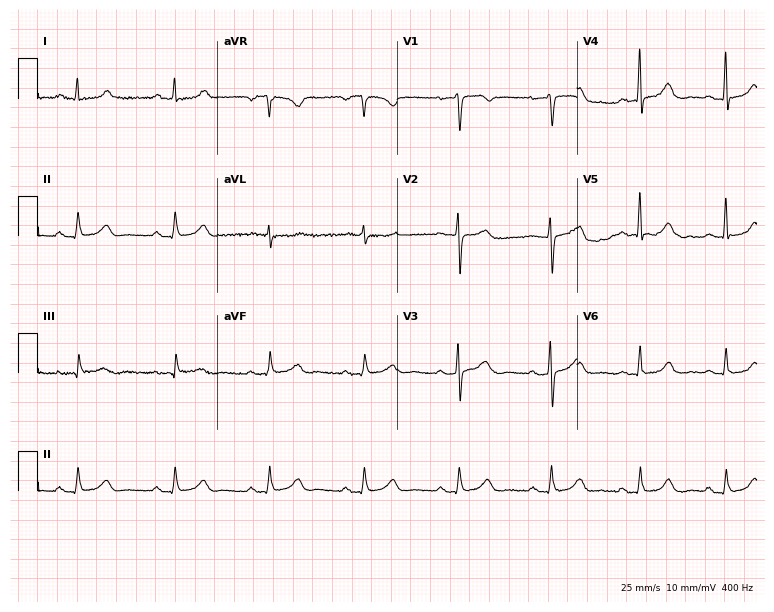
ECG — a 51-year-old female. Labelled as a normal ECG.